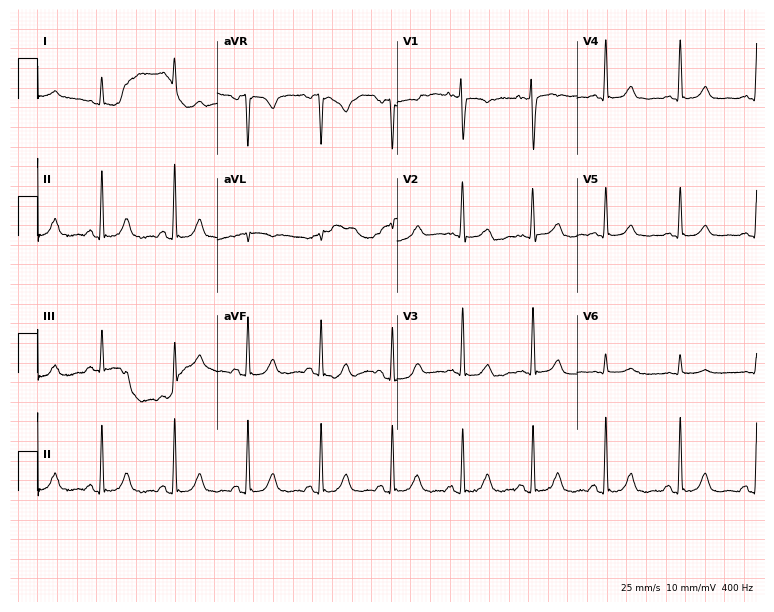
Standard 12-lead ECG recorded from a 71-year-old female patient. None of these six findings is recorded: first-degree AV block, right bundle branch block (RBBB), left bundle branch block (LBBB), sinus bradycardia, atrial fibrillation (AF), sinus tachycardia.